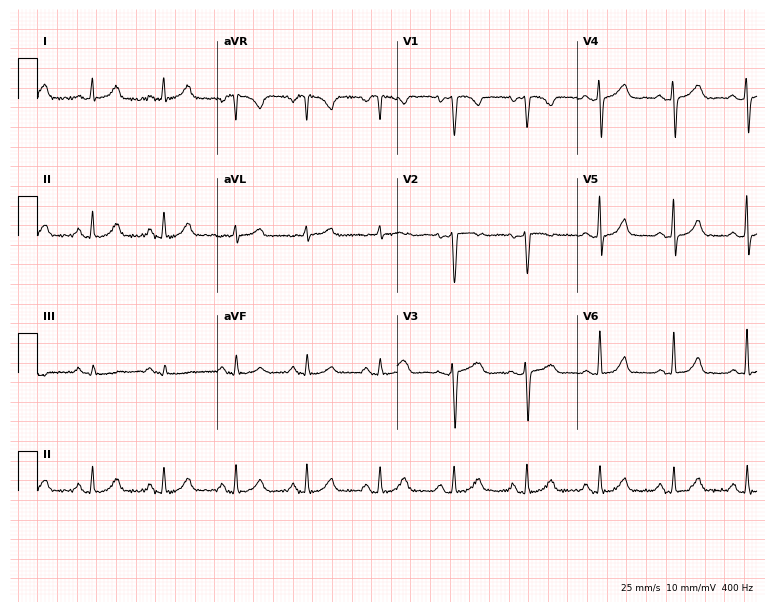
12-lead ECG (7.3-second recording at 400 Hz) from a 47-year-old female patient. Screened for six findings — first-degree AV block, right bundle branch block (RBBB), left bundle branch block (LBBB), sinus bradycardia, atrial fibrillation (AF), sinus tachycardia — none is recorded.